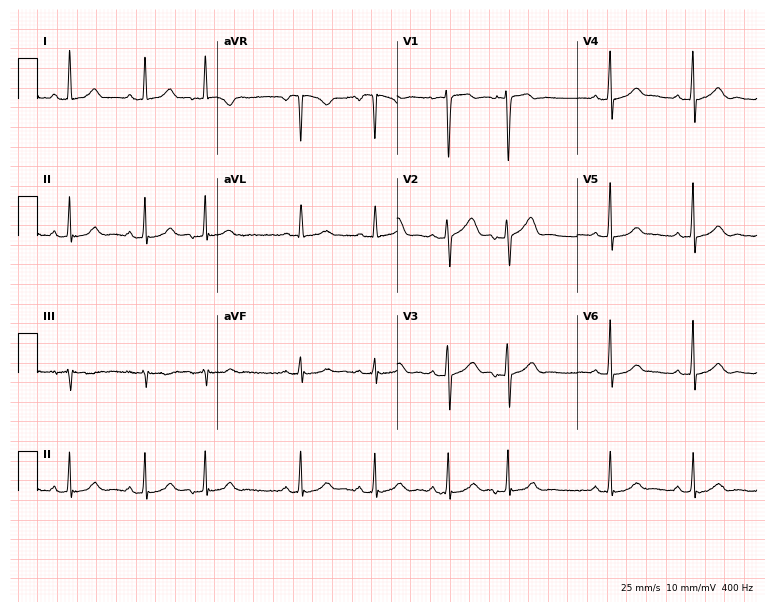
Electrocardiogram (7.3-second recording at 400 Hz), a 32-year-old female patient. Overall reading on record: normal ECG.